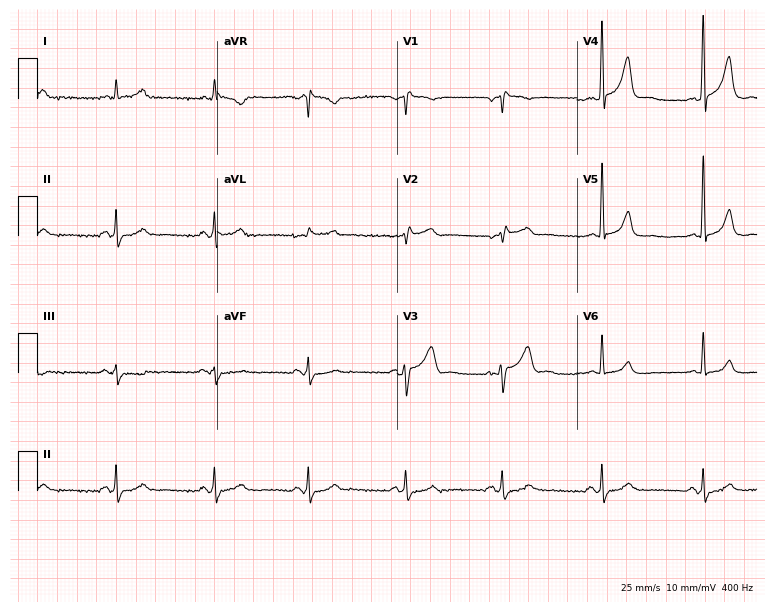
Resting 12-lead electrocardiogram. Patient: a male, 58 years old. None of these six findings is recorded: first-degree AV block, right bundle branch block, left bundle branch block, sinus bradycardia, atrial fibrillation, sinus tachycardia. Only these six findings were labelled.